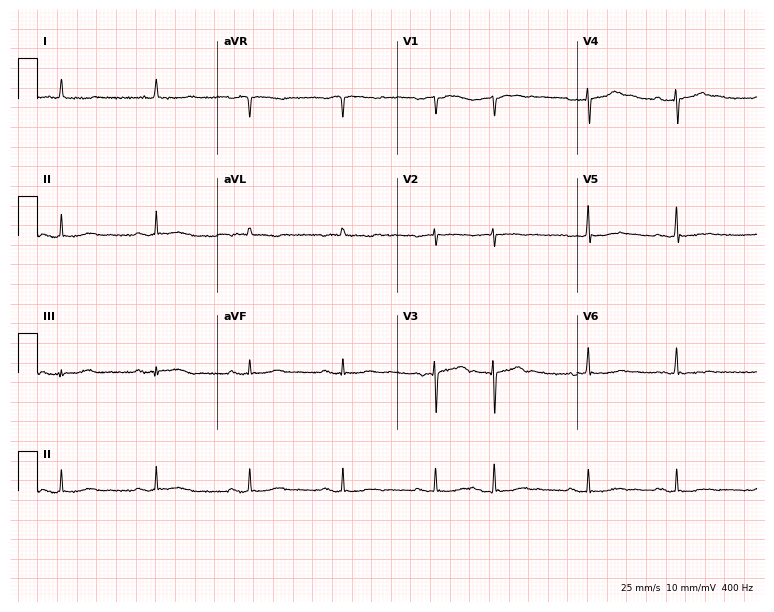
Standard 12-lead ECG recorded from a female patient, 82 years old (7.3-second recording at 400 Hz). None of these six findings is recorded: first-degree AV block, right bundle branch block (RBBB), left bundle branch block (LBBB), sinus bradycardia, atrial fibrillation (AF), sinus tachycardia. Only these six findings were labelled.